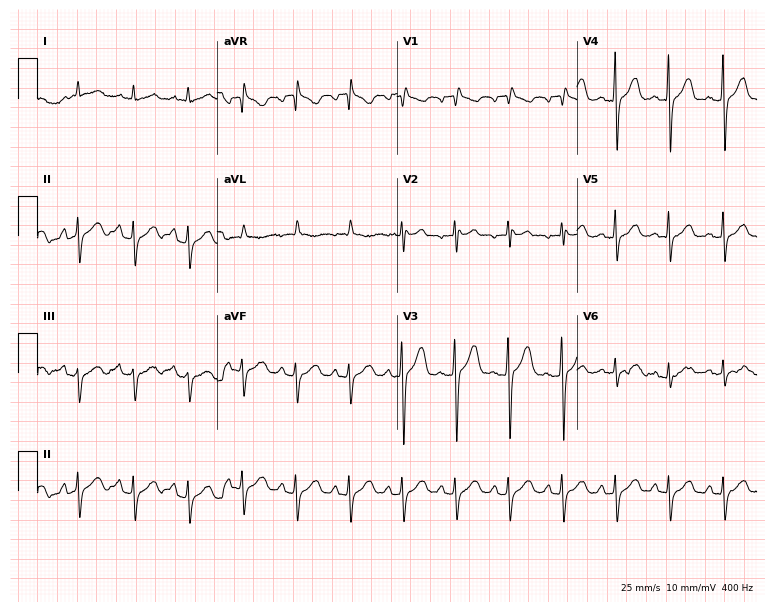
Electrocardiogram, a 50-year-old man. Interpretation includes sinus tachycardia (a sinus rate of 100 beats per minute or more).